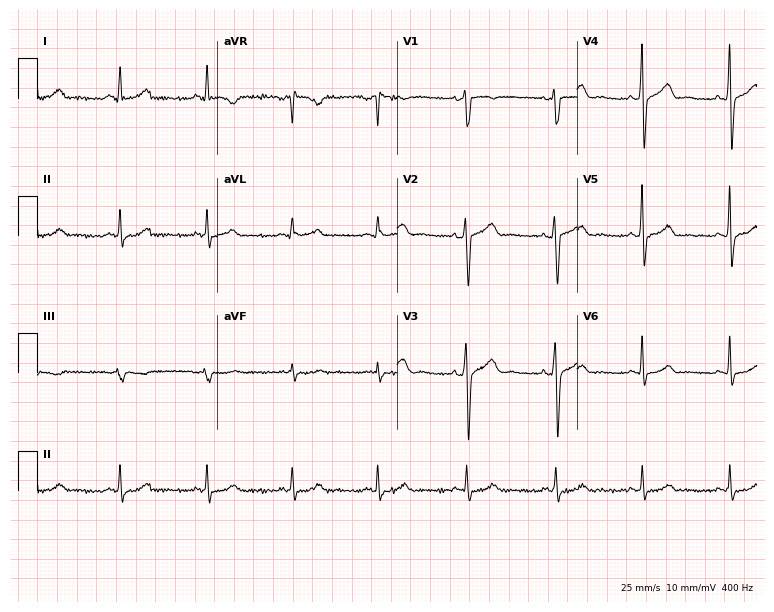
12-lead ECG (7.3-second recording at 400 Hz) from a man, 47 years old. Labelled as a normal ECG.